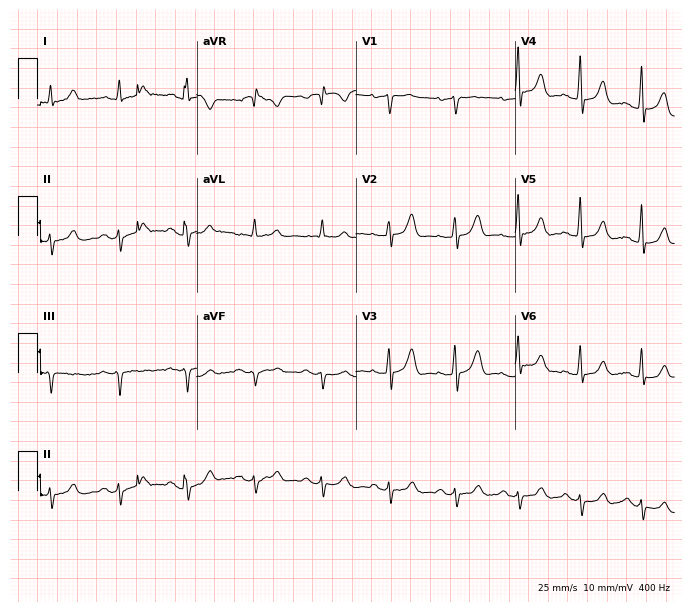
Standard 12-lead ECG recorded from a 60-year-old man. None of these six findings is recorded: first-degree AV block, right bundle branch block, left bundle branch block, sinus bradycardia, atrial fibrillation, sinus tachycardia. Findings outside these six are not listed.